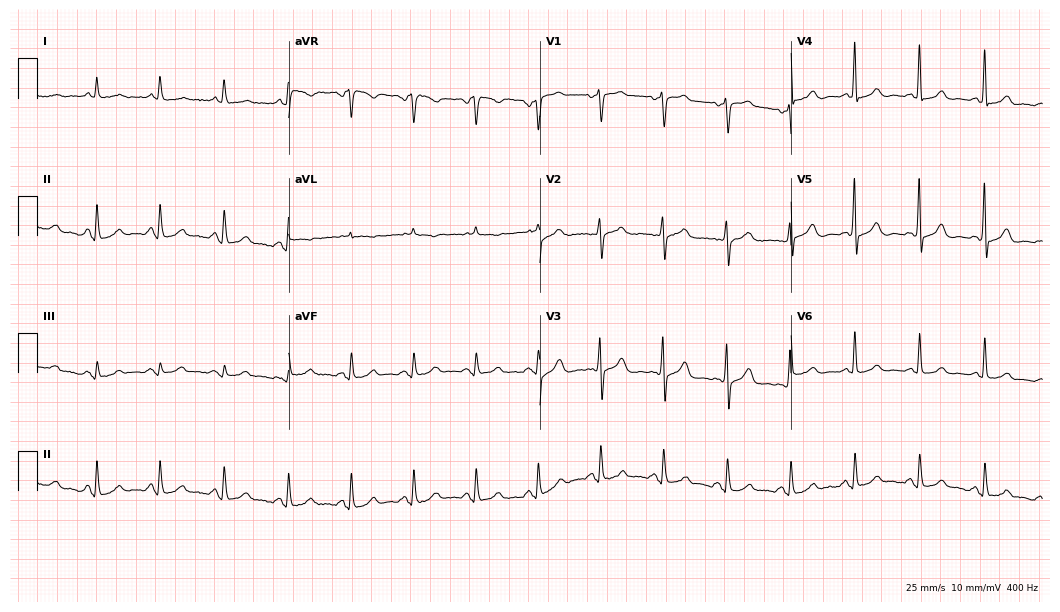
12-lead ECG from a female, 74 years old. Recorded interpretation: within normal limits.